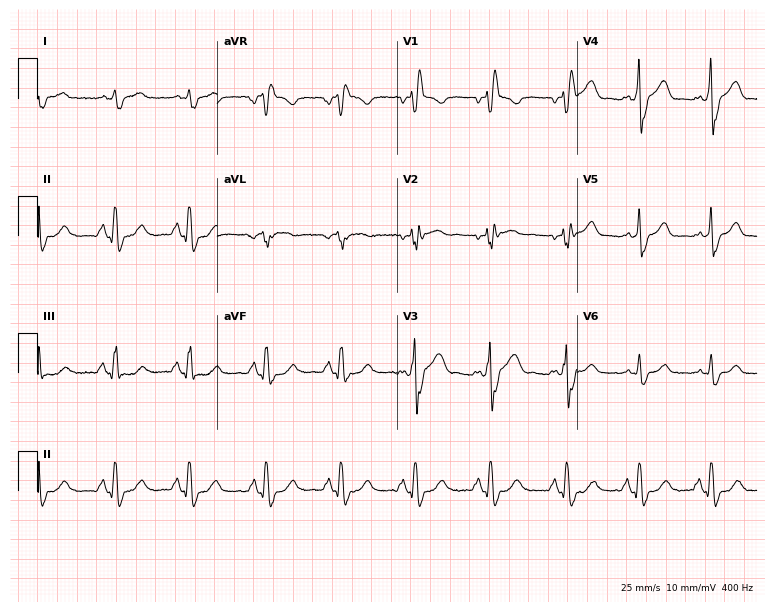
Electrocardiogram (7.3-second recording at 400 Hz), a 62-year-old man. Interpretation includes right bundle branch block.